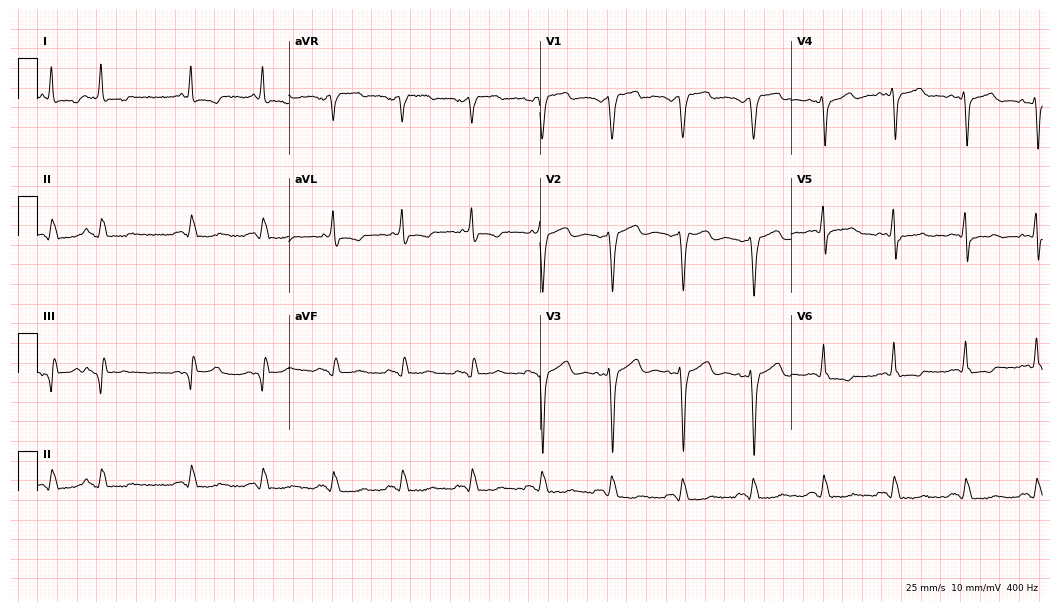
Resting 12-lead electrocardiogram. Patient: a 70-year-old male. The tracing shows left bundle branch block.